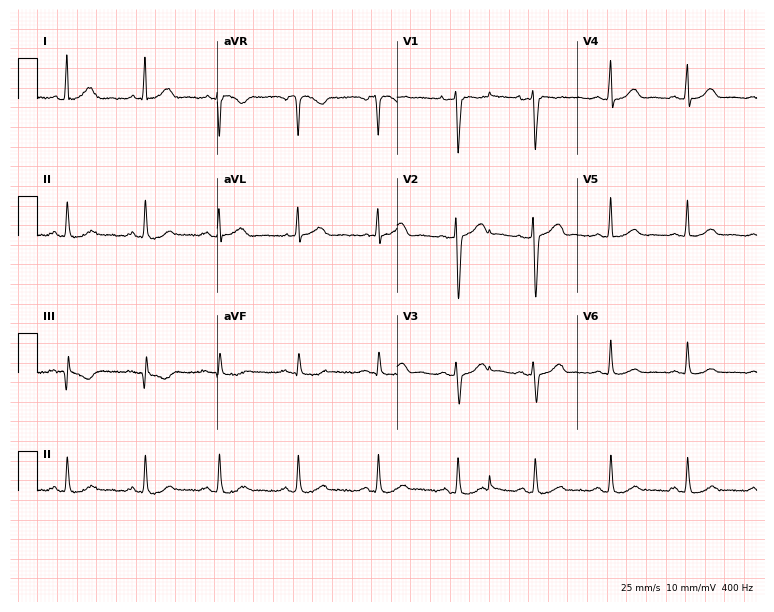
Resting 12-lead electrocardiogram (7.3-second recording at 400 Hz). Patient: a female, 34 years old. Read as a normal ECG.